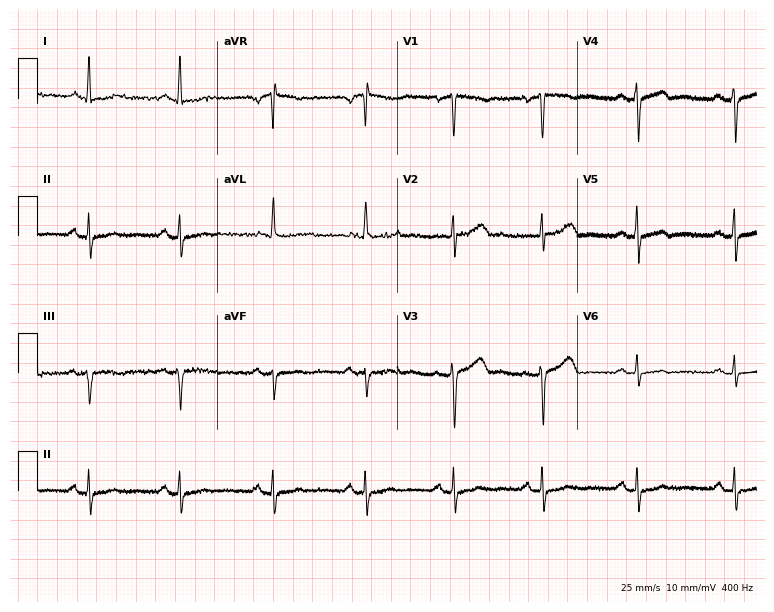
Standard 12-lead ECG recorded from a female patient, 53 years old. None of these six findings is recorded: first-degree AV block, right bundle branch block, left bundle branch block, sinus bradycardia, atrial fibrillation, sinus tachycardia. Findings outside these six are not listed.